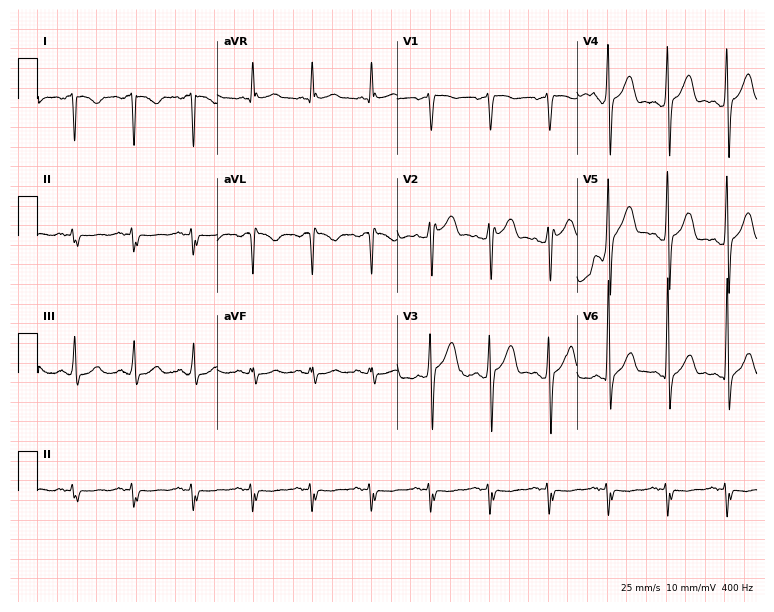
12-lead ECG from a 51-year-old male. No first-degree AV block, right bundle branch block (RBBB), left bundle branch block (LBBB), sinus bradycardia, atrial fibrillation (AF) or sinus tachycardia recorded for this tracing. Findings outside these six are not listed.